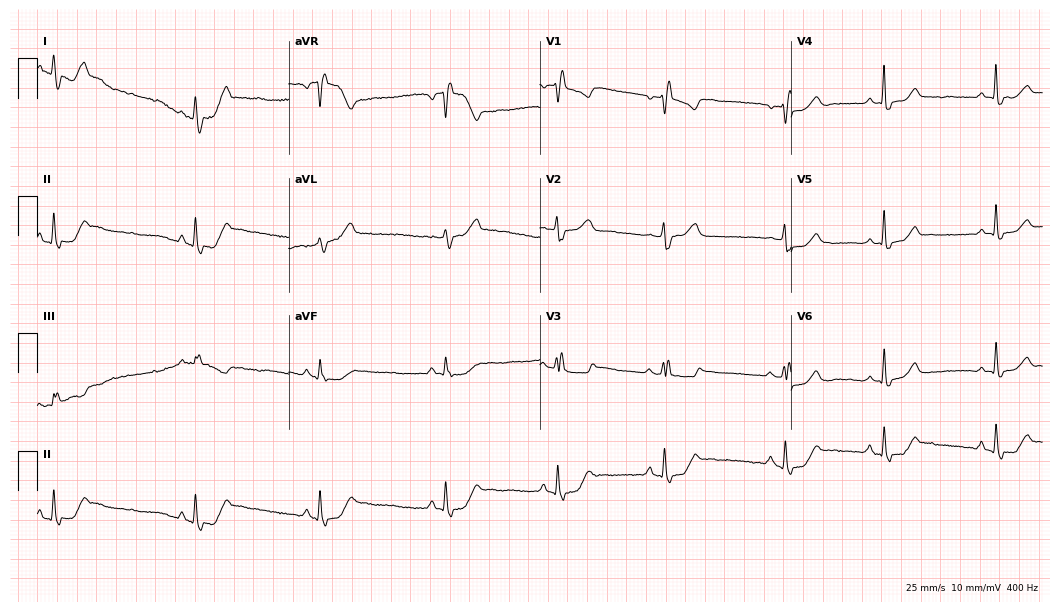
Electrocardiogram (10.2-second recording at 400 Hz), a female, 47 years old. Of the six screened findings (first-degree AV block, right bundle branch block, left bundle branch block, sinus bradycardia, atrial fibrillation, sinus tachycardia), none is recorded.